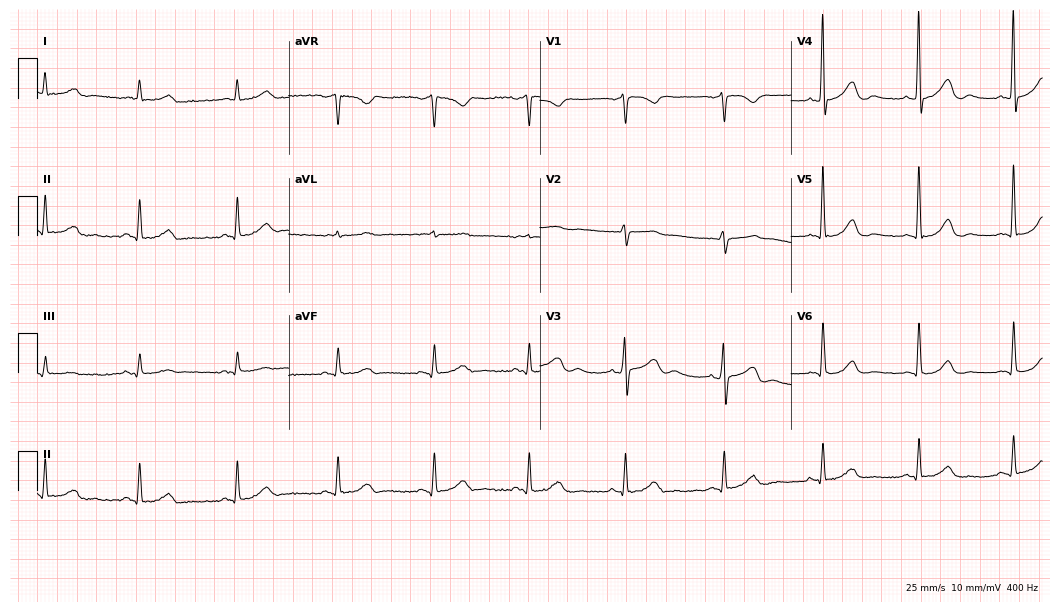
12-lead ECG from a man, 79 years old (10.2-second recording at 400 Hz). Recorded interpretation: within normal limits.